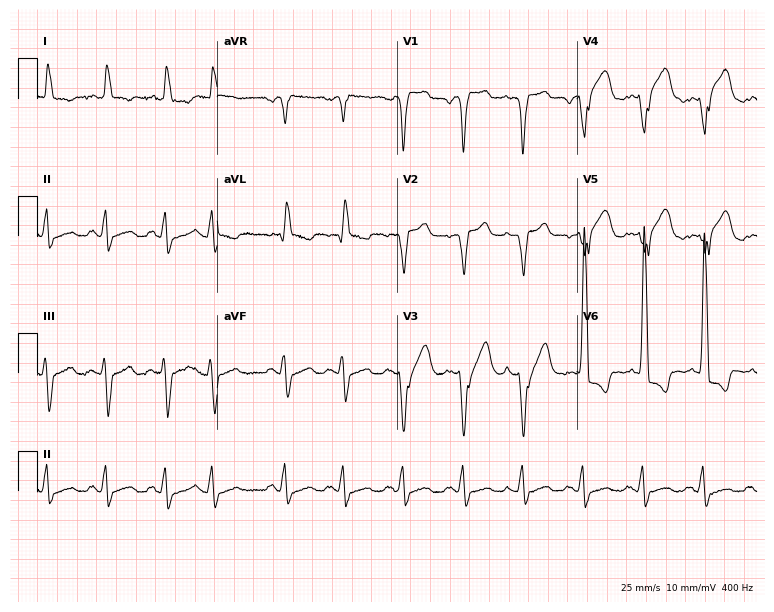
Electrocardiogram, a man, 71 years old. Of the six screened findings (first-degree AV block, right bundle branch block, left bundle branch block, sinus bradycardia, atrial fibrillation, sinus tachycardia), none is recorded. Findings outside these six are not listed.